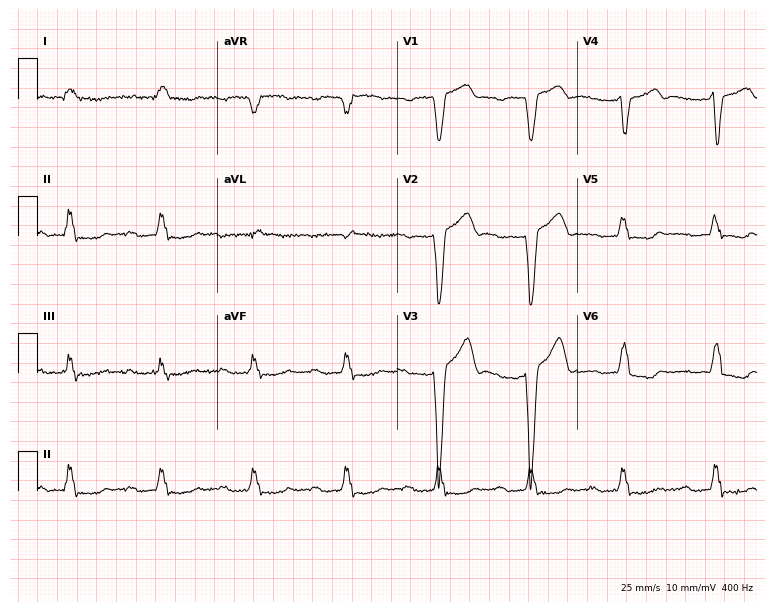
Standard 12-lead ECG recorded from a 63-year-old male patient. The tracing shows first-degree AV block, left bundle branch block (LBBB).